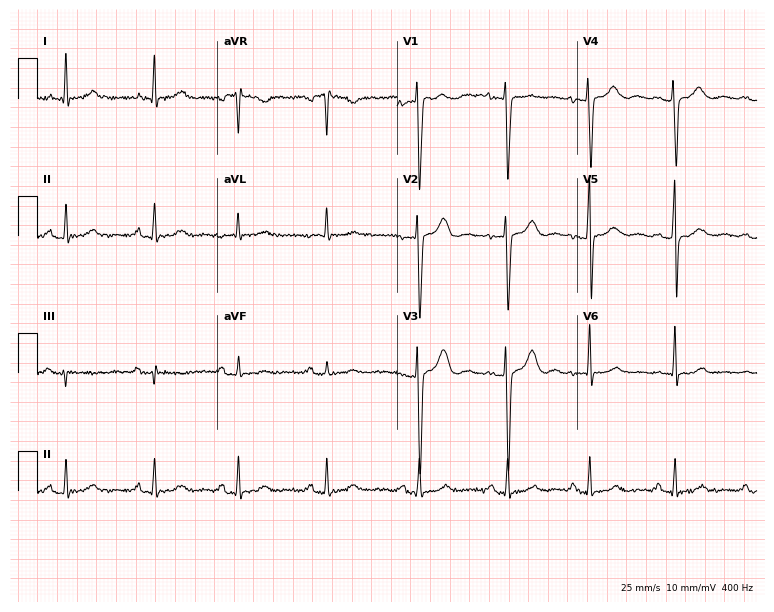
ECG (7.3-second recording at 400 Hz) — a female, 46 years old. Screened for six findings — first-degree AV block, right bundle branch block, left bundle branch block, sinus bradycardia, atrial fibrillation, sinus tachycardia — none is recorded. Other findings, if any, are not listed.